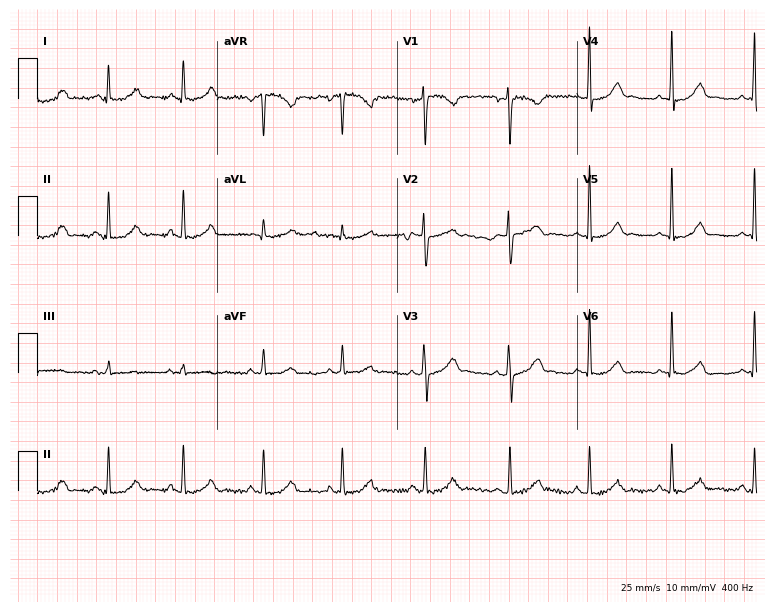
ECG (7.3-second recording at 400 Hz) — a 41-year-old female patient. Labelled as a normal ECG.